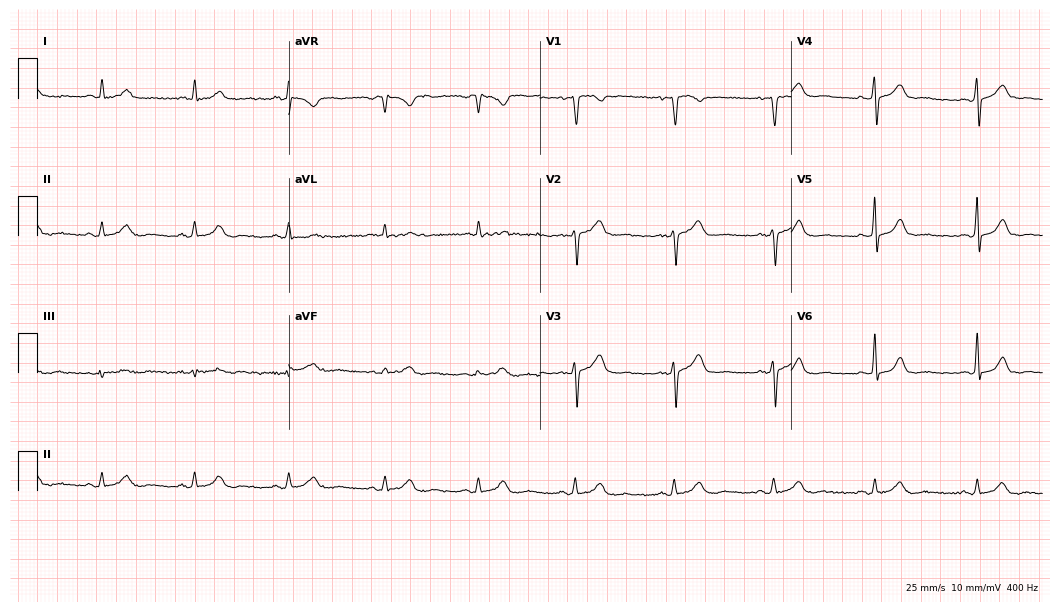
12-lead ECG from a female patient, 34 years old. Screened for six findings — first-degree AV block, right bundle branch block, left bundle branch block, sinus bradycardia, atrial fibrillation, sinus tachycardia — none is recorded.